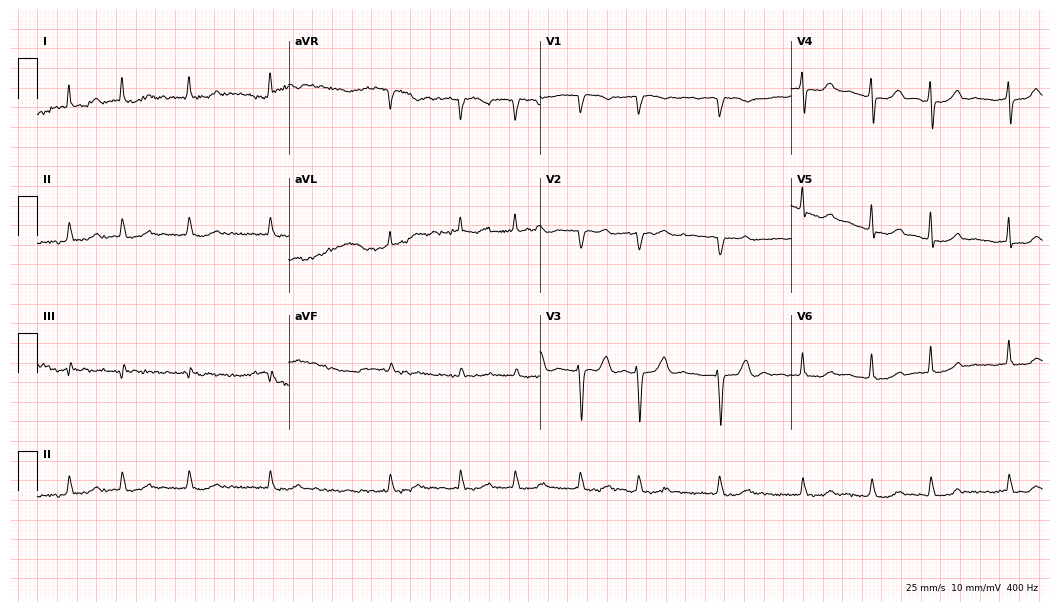
Standard 12-lead ECG recorded from a woman, 74 years old (10.2-second recording at 400 Hz). The tracing shows atrial fibrillation.